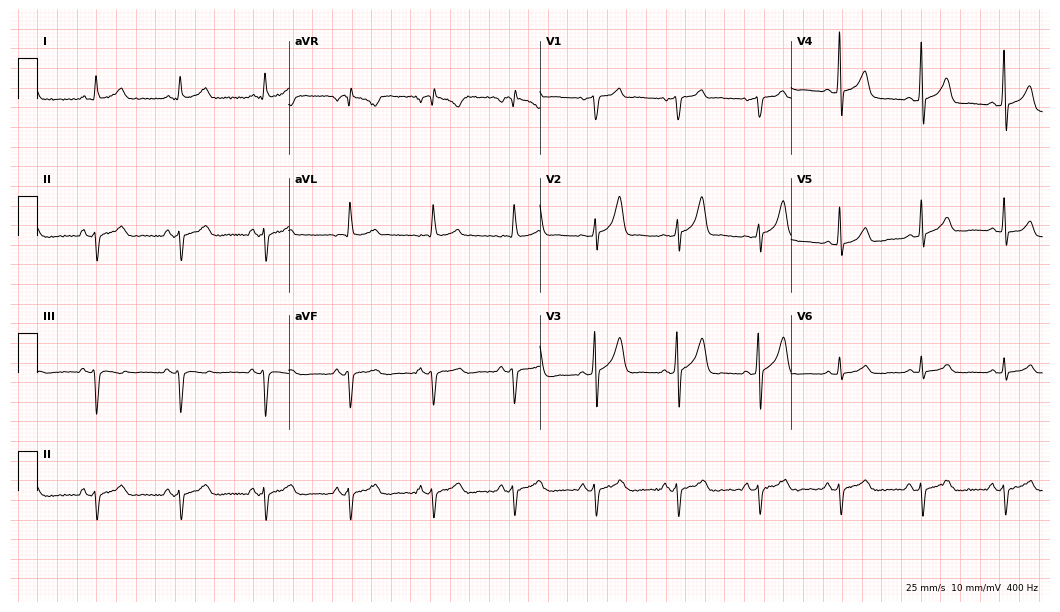
ECG (10.2-second recording at 400 Hz) — a man, 48 years old. Screened for six findings — first-degree AV block, right bundle branch block (RBBB), left bundle branch block (LBBB), sinus bradycardia, atrial fibrillation (AF), sinus tachycardia — none is recorded. Findings outside these six are not listed.